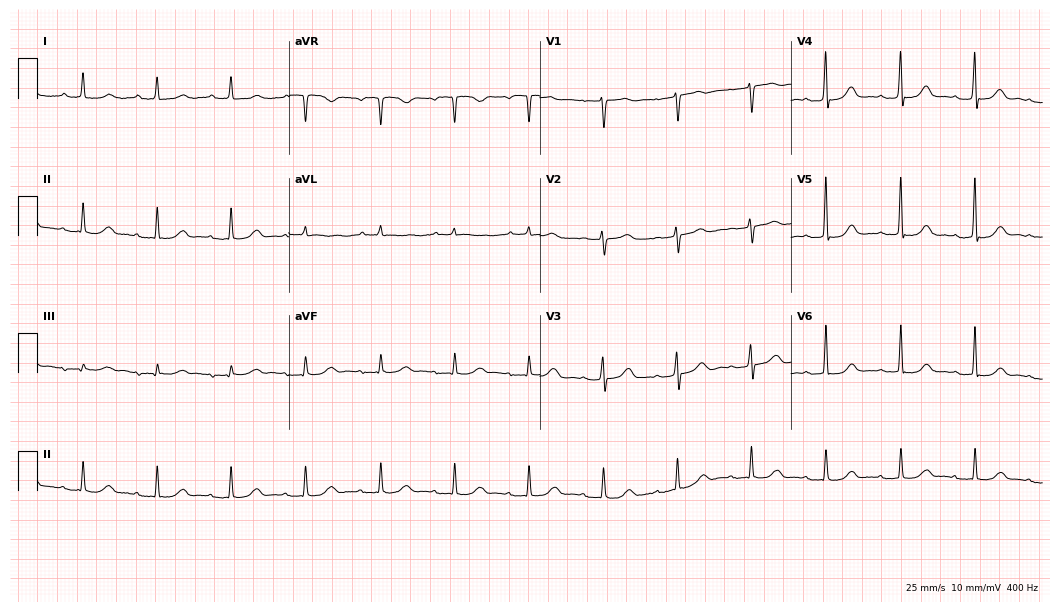
12-lead ECG from a 70-year-old woman. Recorded interpretation: within normal limits.